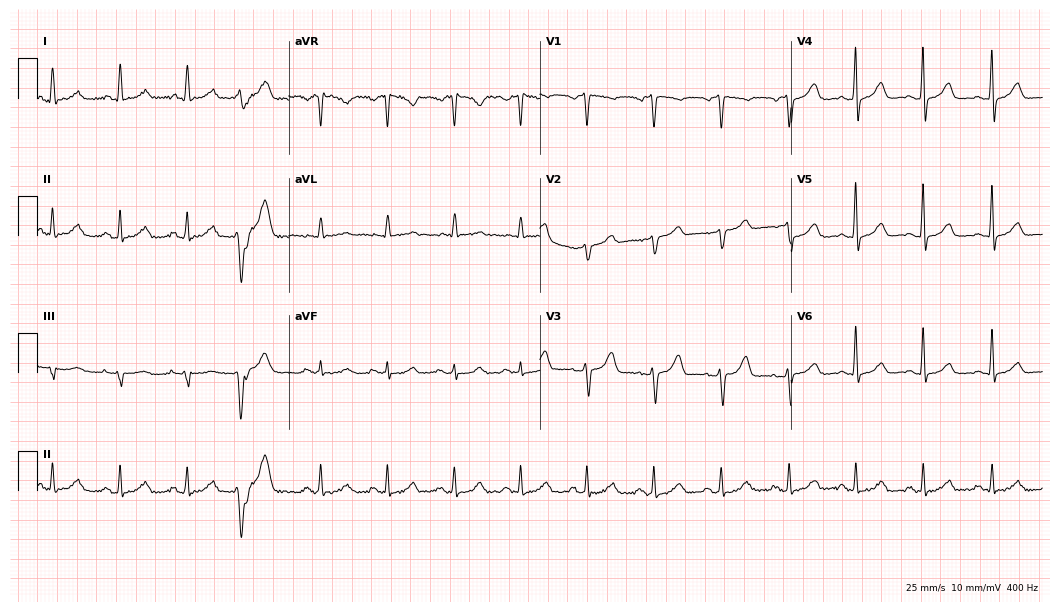
12-lead ECG (10.2-second recording at 400 Hz) from a 72-year-old woman. Labelled as a normal ECG.